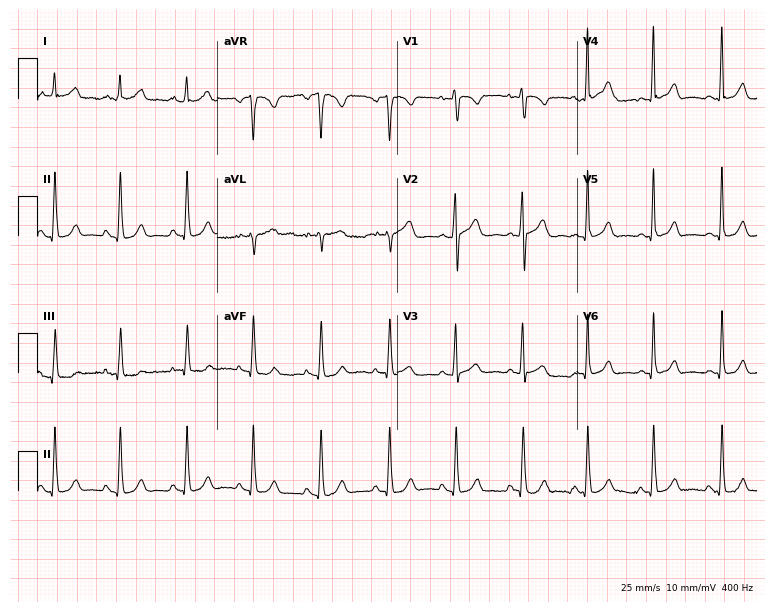
Electrocardiogram, a 21-year-old female. Overall reading on record: normal ECG.